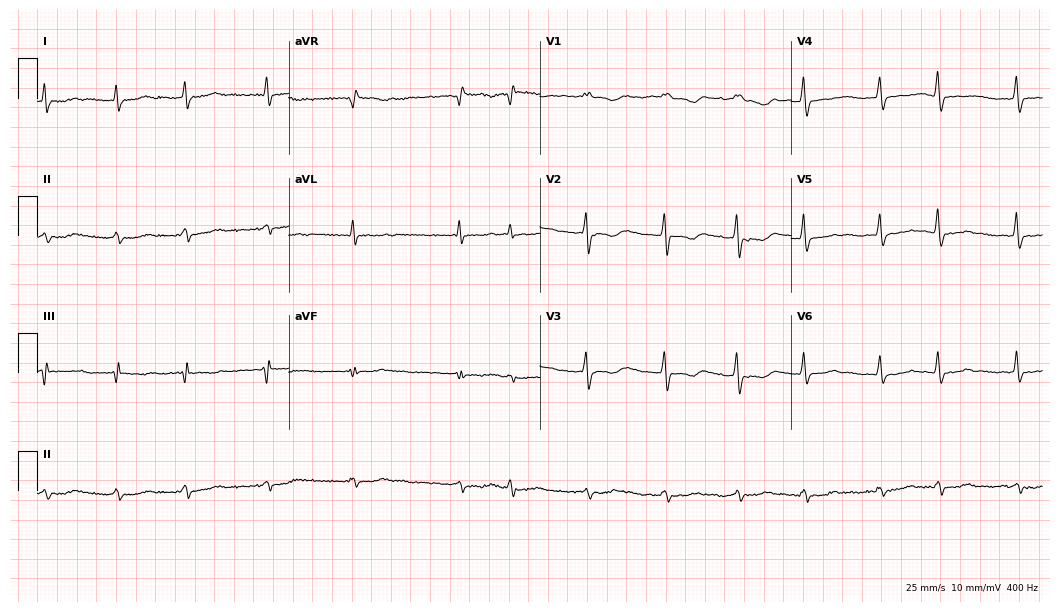
Resting 12-lead electrocardiogram. Patient: a 72-year-old man. The tracing shows atrial fibrillation.